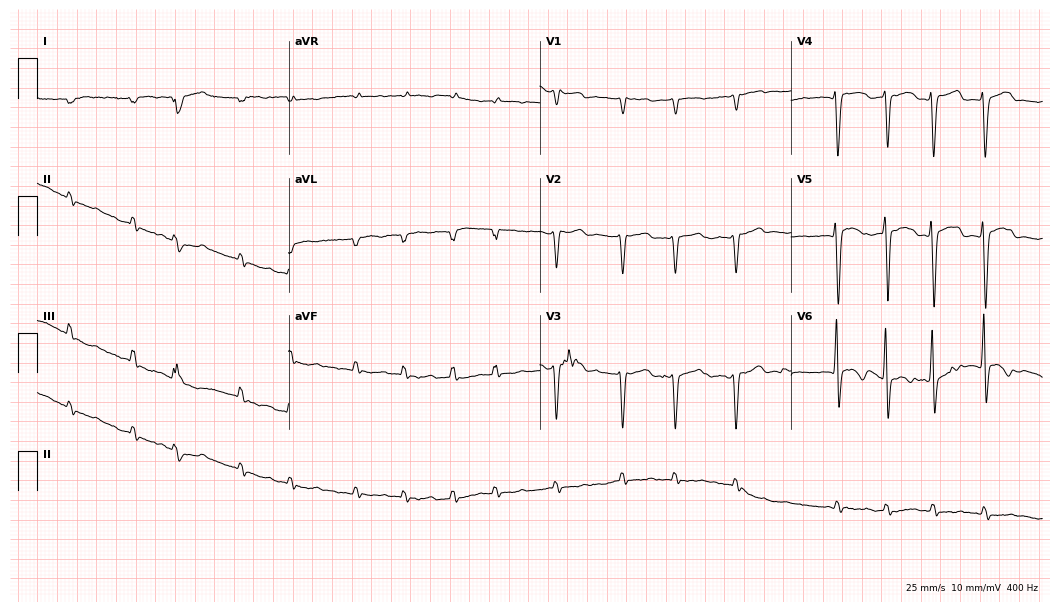
Electrocardiogram, a 75-year-old woman. Of the six screened findings (first-degree AV block, right bundle branch block, left bundle branch block, sinus bradycardia, atrial fibrillation, sinus tachycardia), none is recorded.